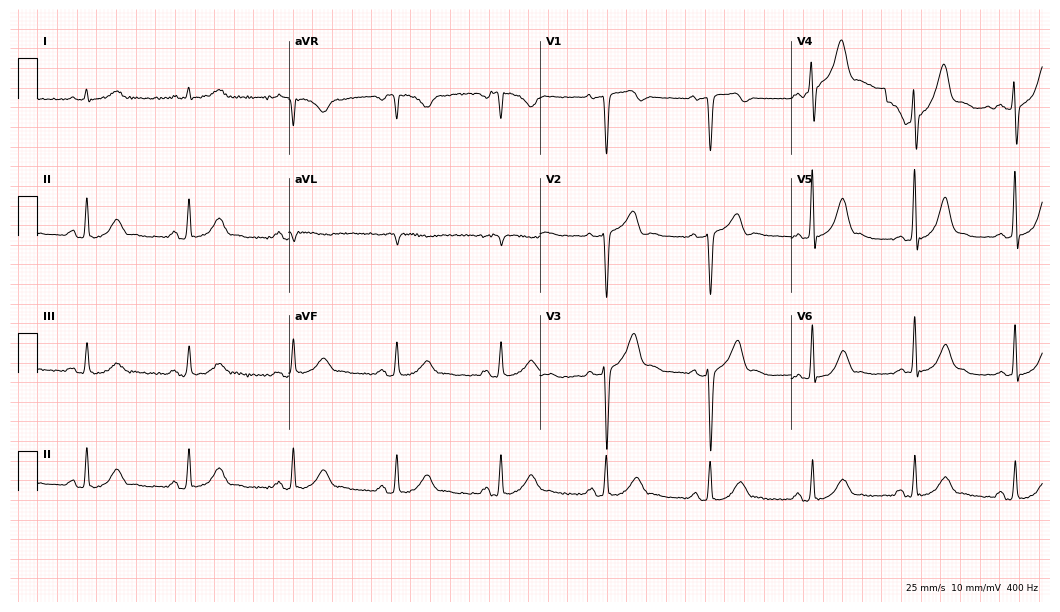
Standard 12-lead ECG recorded from a male, 48 years old. None of these six findings is recorded: first-degree AV block, right bundle branch block, left bundle branch block, sinus bradycardia, atrial fibrillation, sinus tachycardia. Other findings, if any, are not listed.